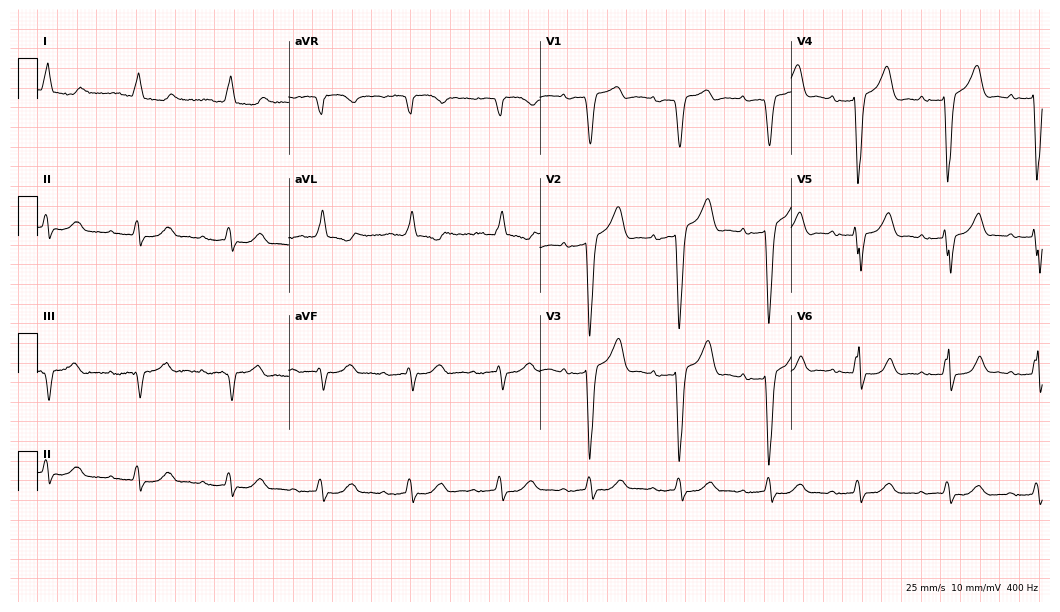
ECG — an 81-year-old man. Findings include first-degree AV block, left bundle branch block (LBBB).